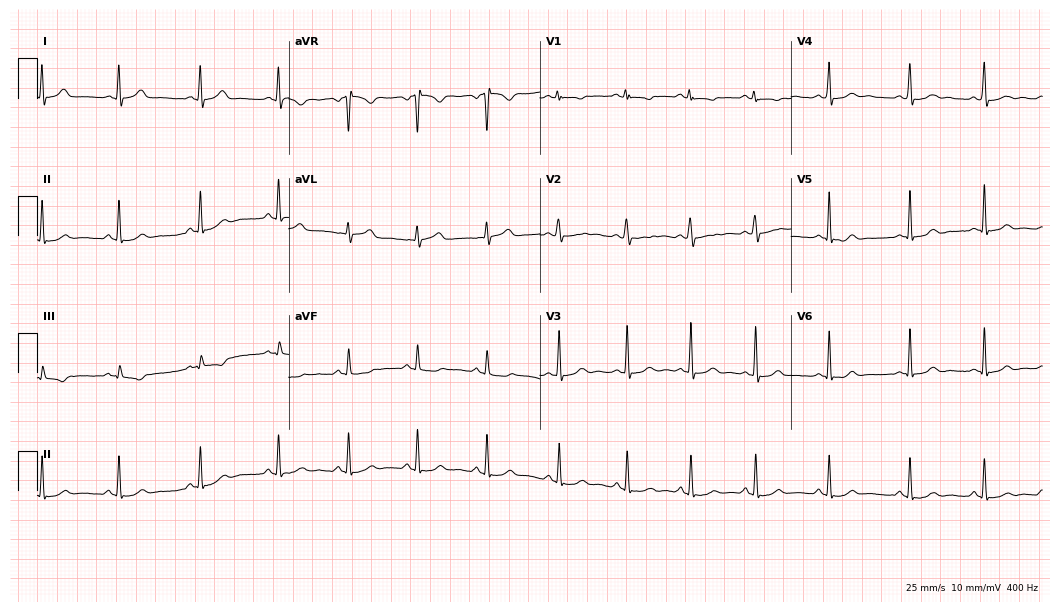
ECG — a woman, 21 years old. Labelled as a normal ECG.